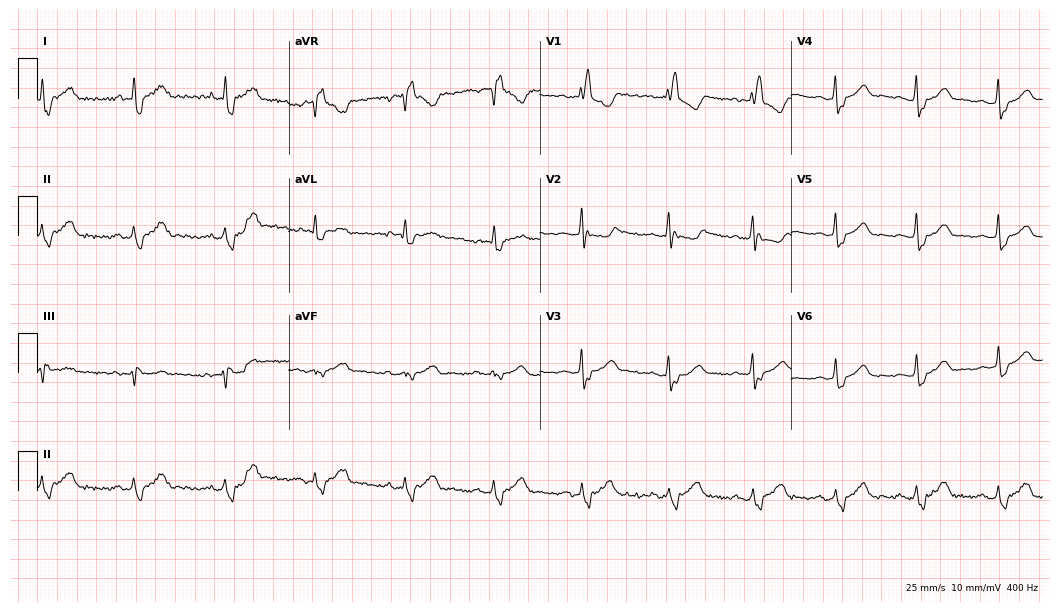
Electrocardiogram (10.2-second recording at 400 Hz), a 46-year-old male patient. Of the six screened findings (first-degree AV block, right bundle branch block, left bundle branch block, sinus bradycardia, atrial fibrillation, sinus tachycardia), none is recorded. Other findings, if any, are not listed.